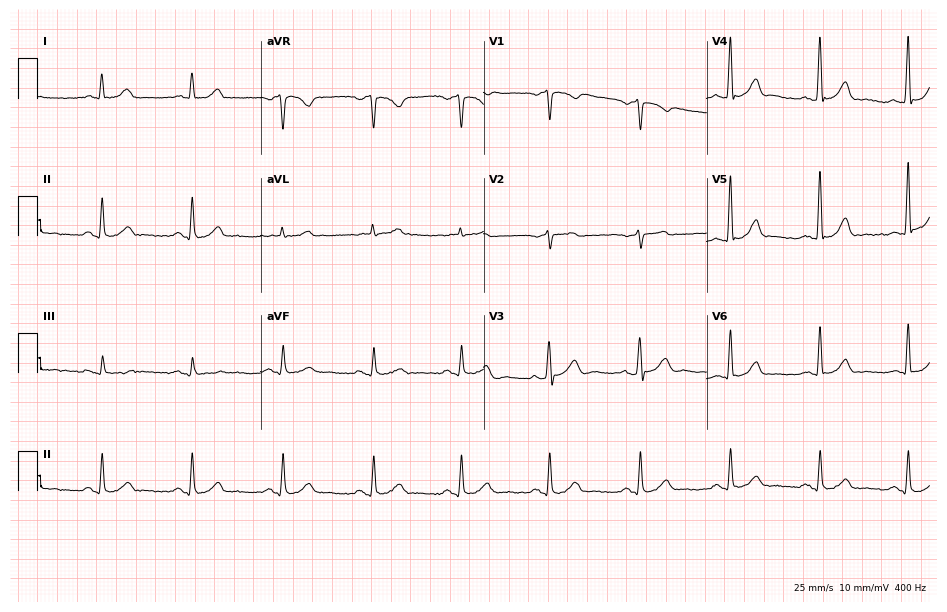
12-lead ECG from a male, 60 years old. Recorded interpretation: within normal limits.